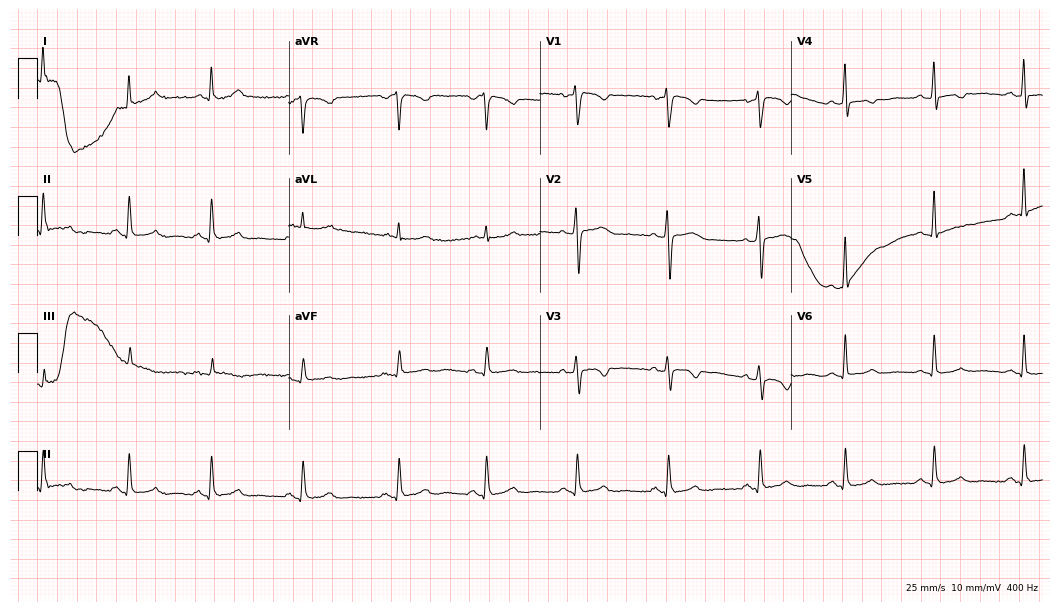
ECG (10.2-second recording at 400 Hz) — a 51-year-old female patient. Screened for six findings — first-degree AV block, right bundle branch block, left bundle branch block, sinus bradycardia, atrial fibrillation, sinus tachycardia — none is recorded.